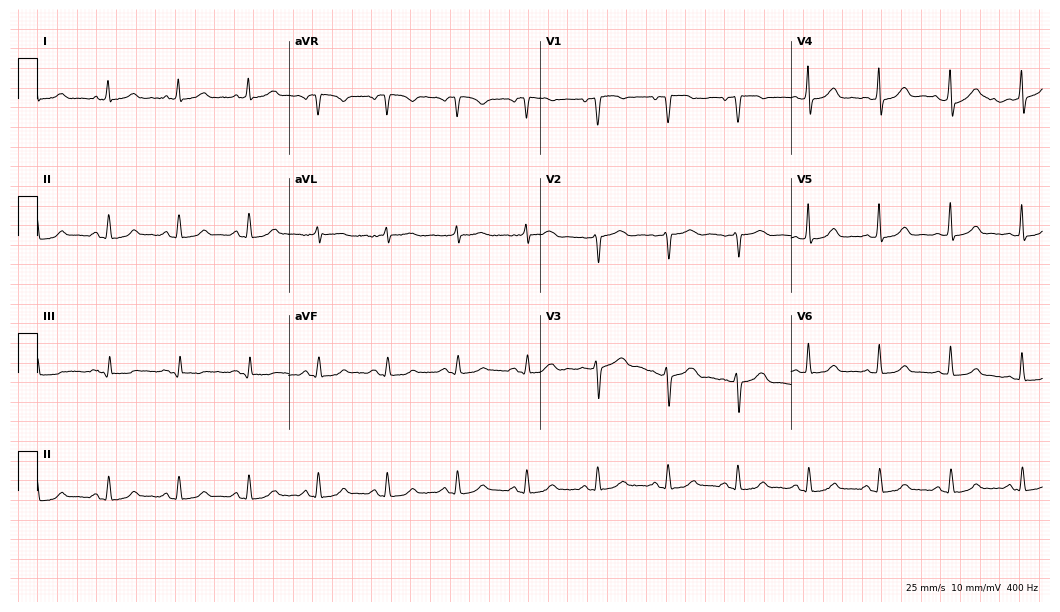
Electrocardiogram (10.2-second recording at 400 Hz), a 52-year-old female patient. Overall reading on record: normal ECG.